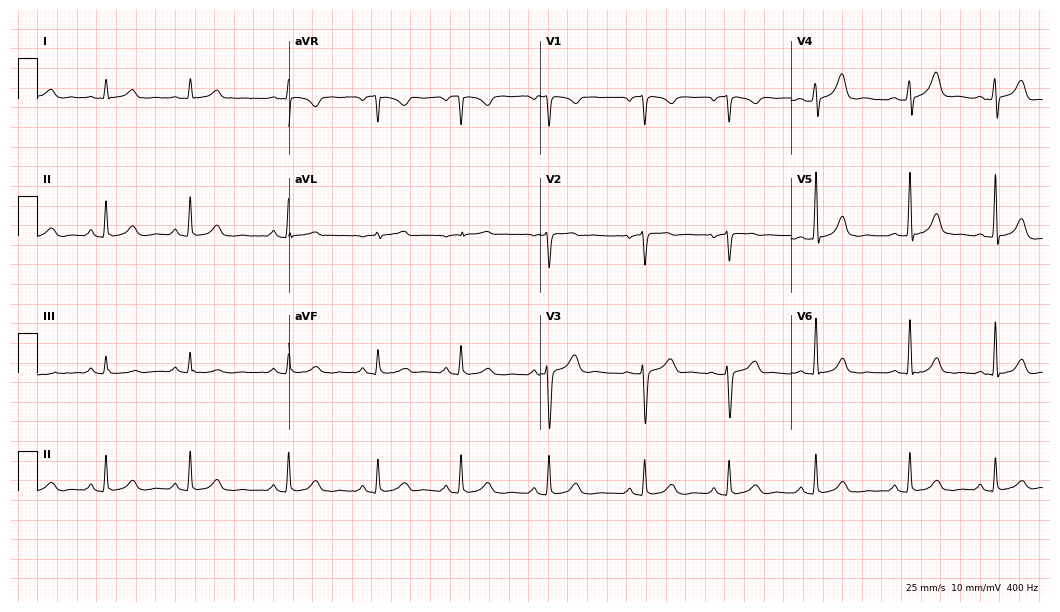
12-lead ECG (10.2-second recording at 400 Hz) from a woman, 35 years old. Screened for six findings — first-degree AV block, right bundle branch block, left bundle branch block, sinus bradycardia, atrial fibrillation, sinus tachycardia — none is recorded. Findings outside these six are not listed.